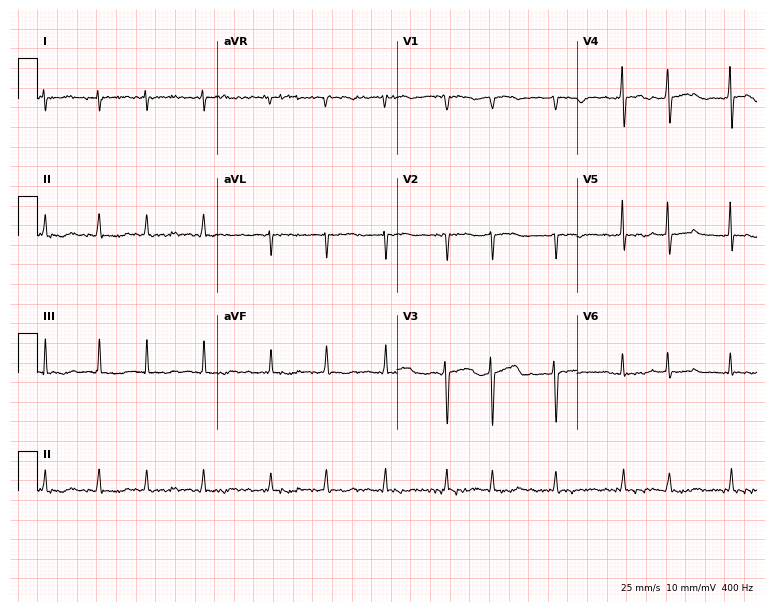
ECG (7.3-second recording at 400 Hz) — a 76-year-old female. Findings include atrial fibrillation.